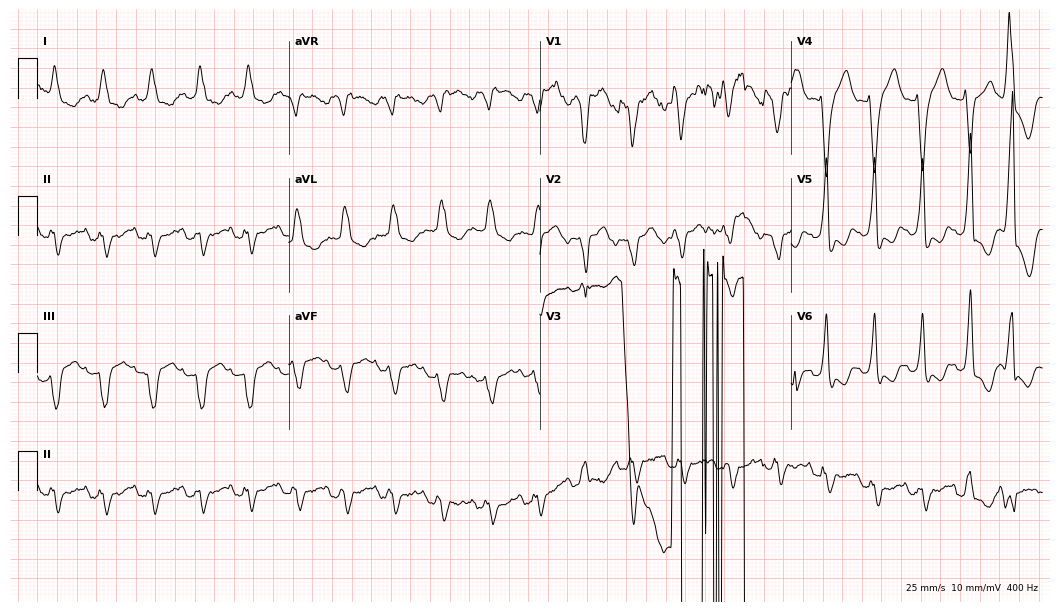
12-lead ECG from an 80-year-old female (10.2-second recording at 400 Hz). No first-degree AV block, right bundle branch block, left bundle branch block, sinus bradycardia, atrial fibrillation or sinus tachycardia recorded for this tracing.